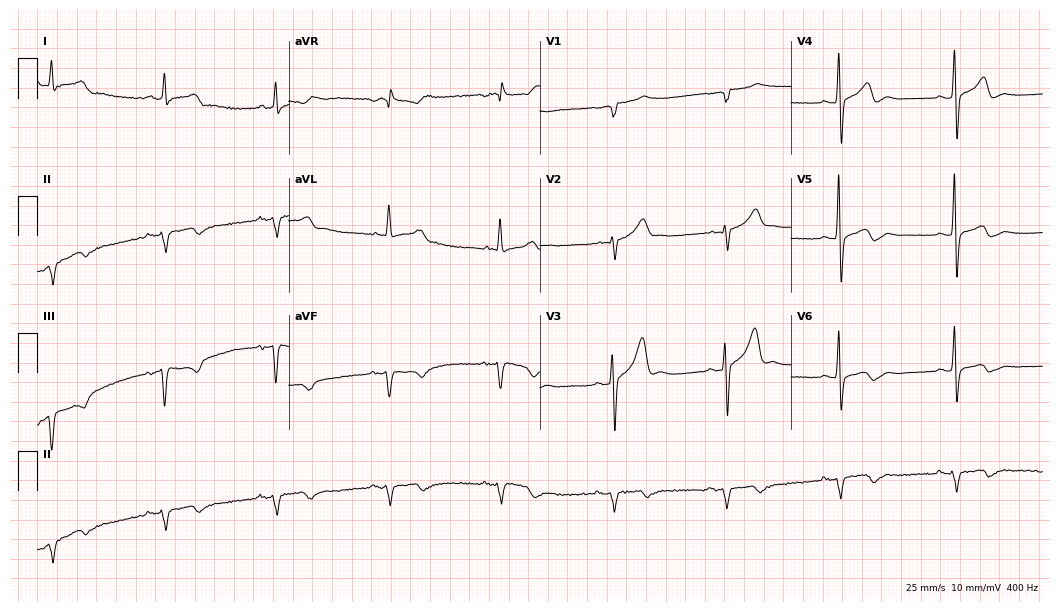
12-lead ECG from a man, 61 years old. Screened for six findings — first-degree AV block, right bundle branch block (RBBB), left bundle branch block (LBBB), sinus bradycardia, atrial fibrillation (AF), sinus tachycardia — none is recorded.